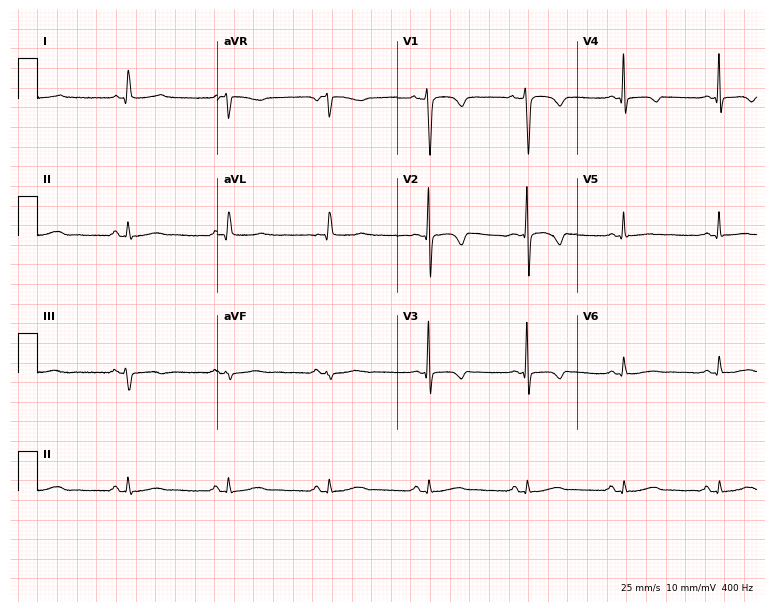
ECG (7.3-second recording at 400 Hz) — a 42-year-old woman. Screened for six findings — first-degree AV block, right bundle branch block, left bundle branch block, sinus bradycardia, atrial fibrillation, sinus tachycardia — none is recorded. Only these six findings were labelled.